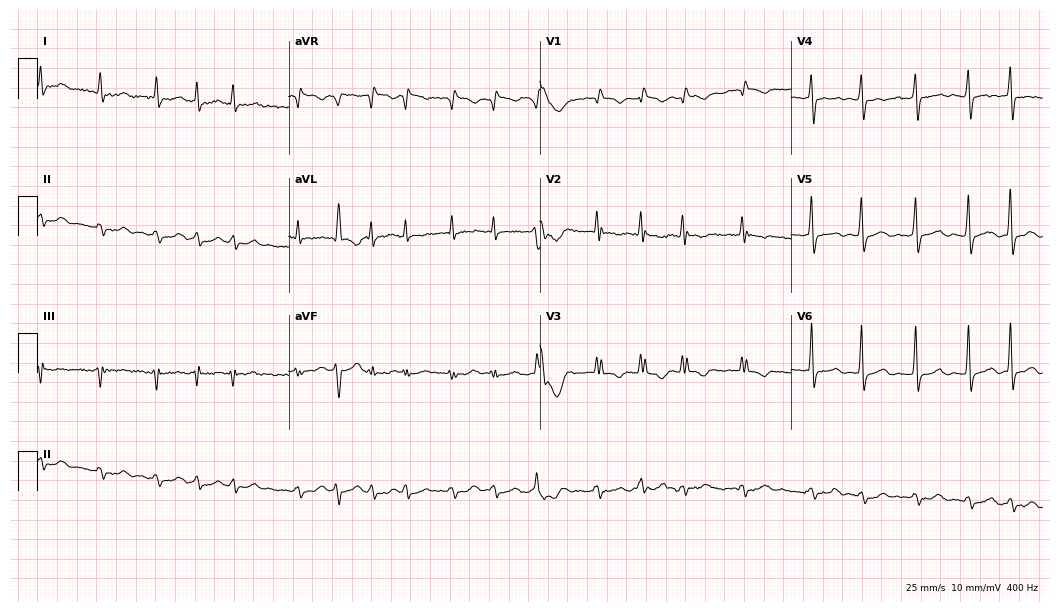
ECG — a man, 68 years old. Findings include atrial fibrillation.